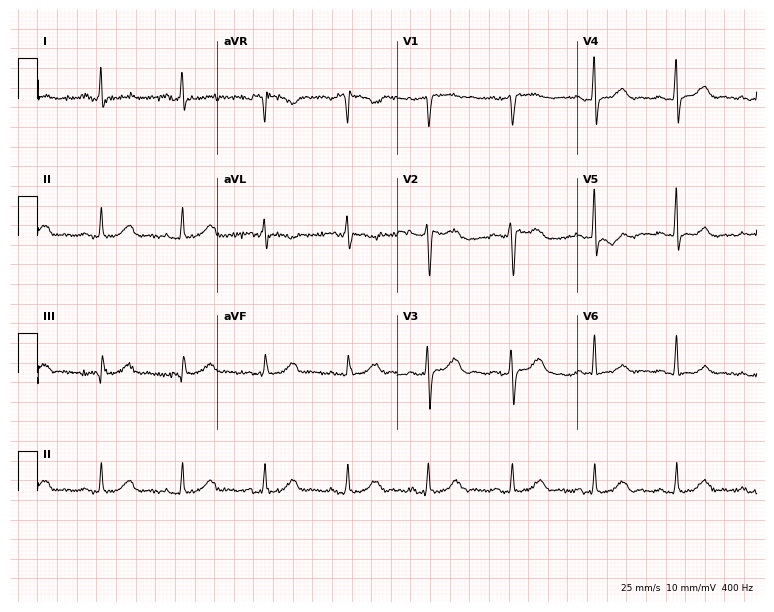
Resting 12-lead electrocardiogram (7.3-second recording at 400 Hz). Patient: a female, 46 years old. Read as a normal ECG.